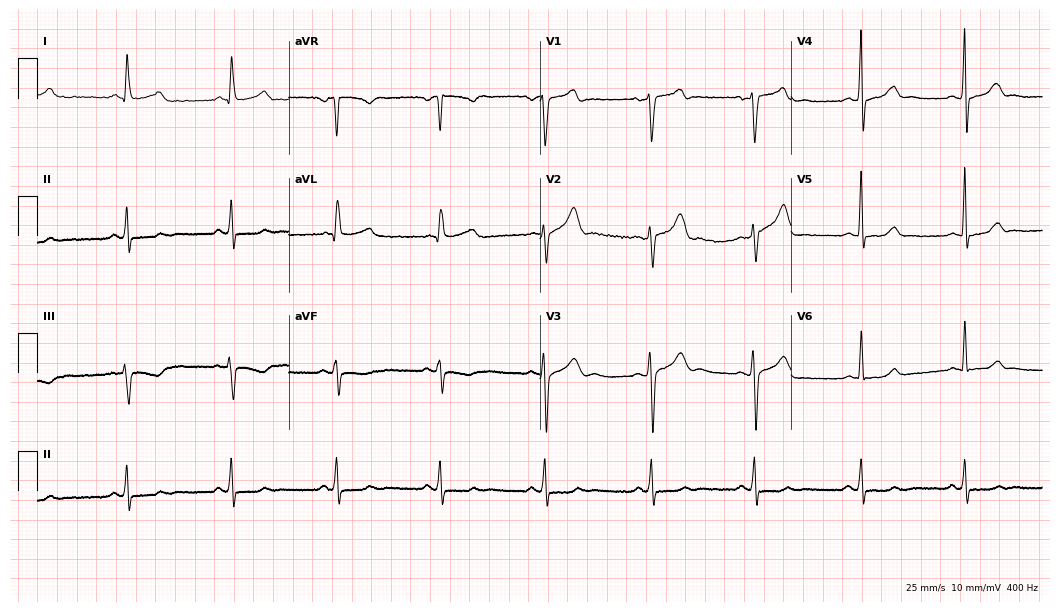
Resting 12-lead electrocardiogram (10.2-second recording at 400 Hz). Patient: a male, 48 years old. Read as a normal ECG.